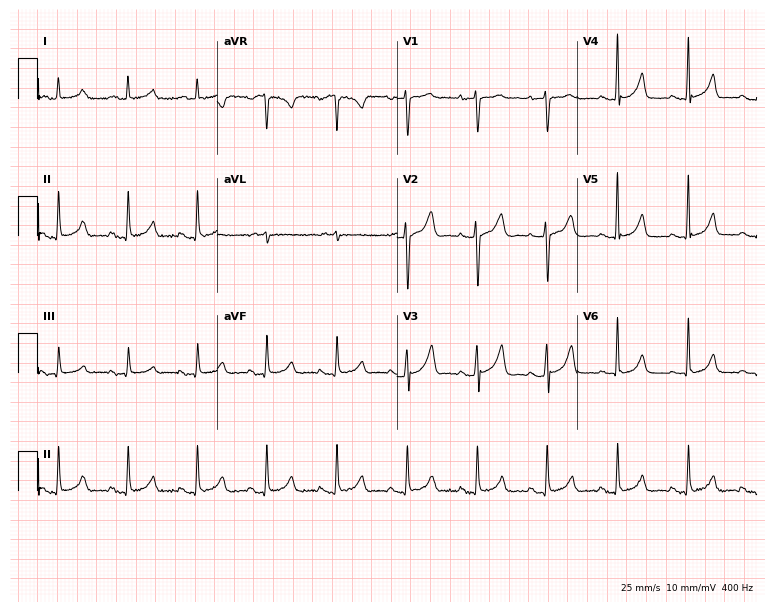
12-lead ECG from a female, 50 years old (7.3-second recording at 400 Hz). Recorded interpretation: within normal limits.